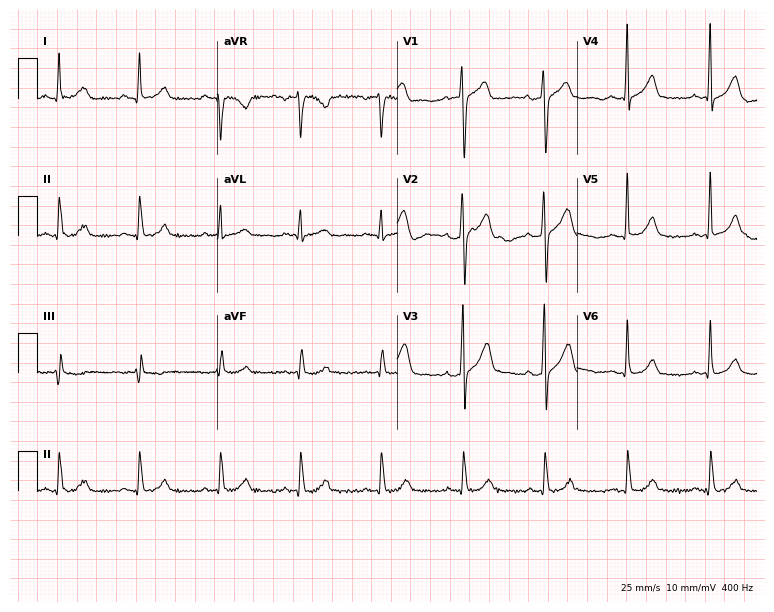
Resting 12-lead electrocardiogram. Patient: a man, 42 years old. Read as a normal ECG.